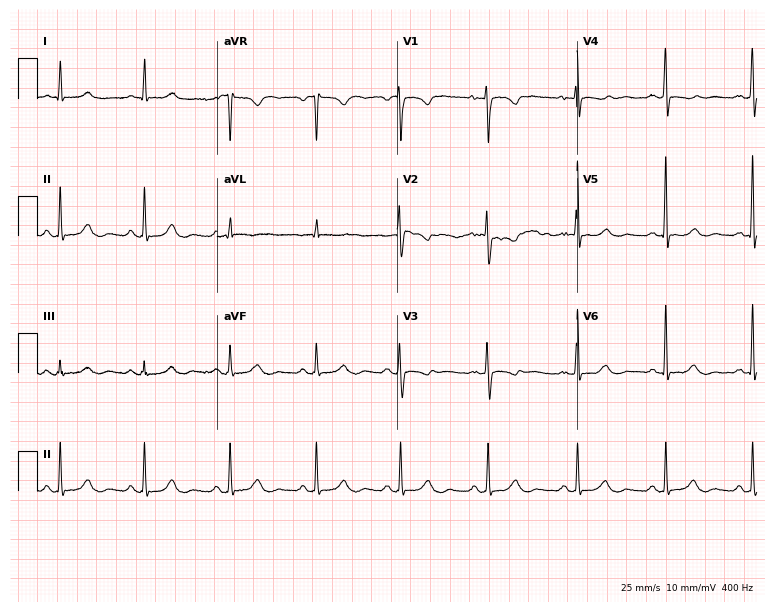
Resting 12-lead electrocardiogram (7.3-second recording at 400 Hz). Patient: a 53-year-old female. None of these six findings is recorded: first-degree AV block, right bundle branch block, left bundle branch block, sinus bradycardia, atrial fibrillation, sinus tachycardia.